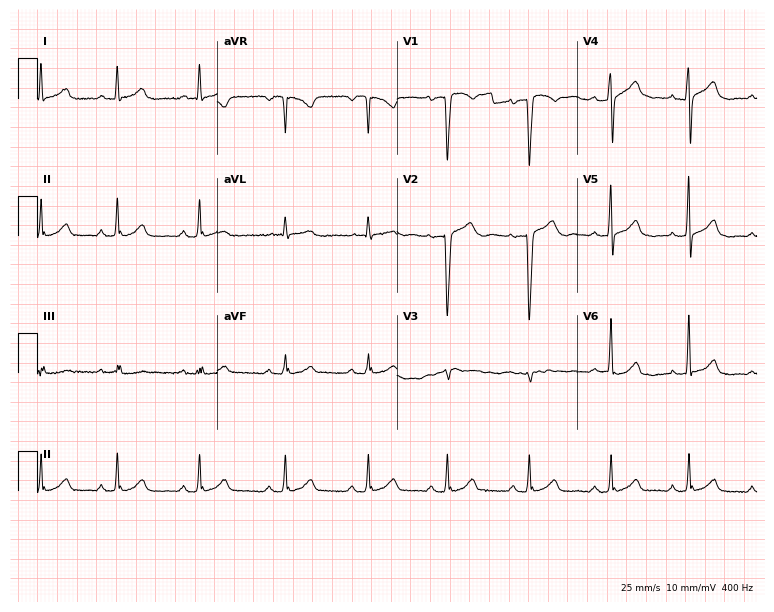
ECG — a 33-year-old man. Labelled as a normal ECG.